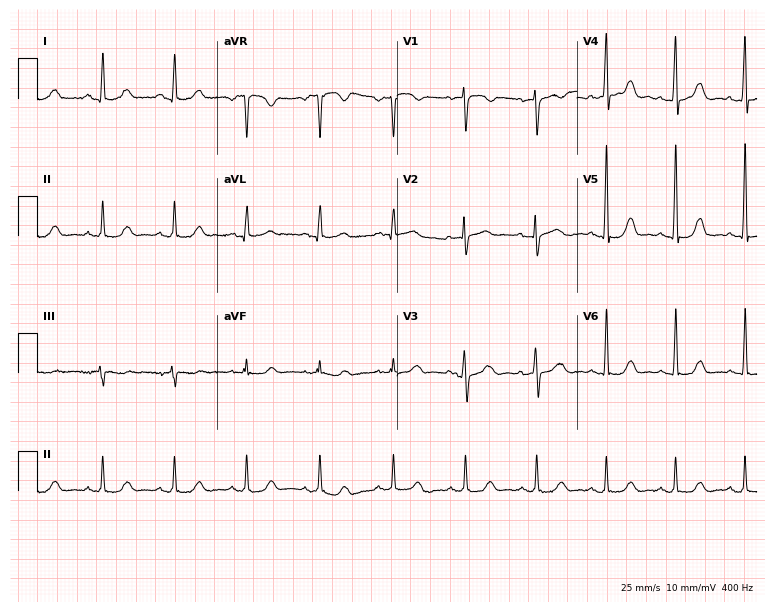
12-lead ECG from a female, 39 years old. Labelled as a normal ECG.